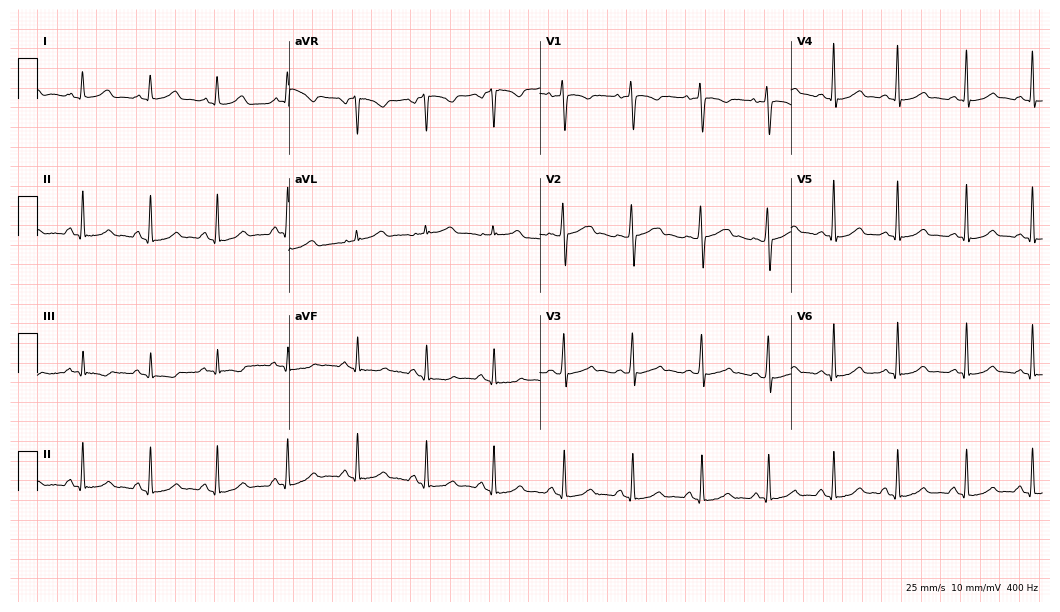
Resting 12-lead electrocardiogram. Patient: a 21-year-old female. Read as a normal ECG.